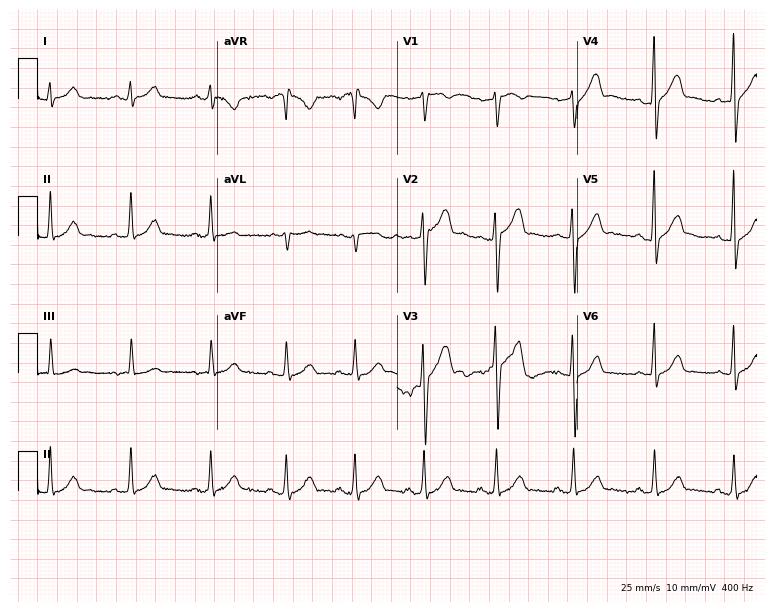
Electrocardiogram (7.3-second recording at 400 Hz), a male, 36 years old. Overall reading on record: normal ECG.